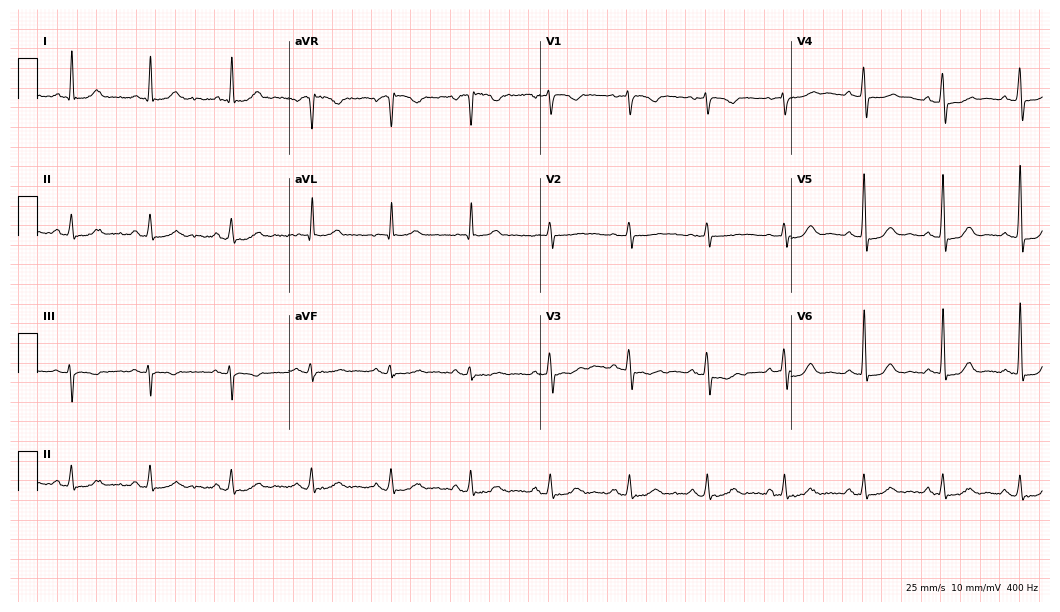
12-lead ECG from a woman, 64 years old. No first-degree AV block, right bundle branch block, left bundle branch block, sinus bradycardia, atrial fibrillation or sinus tachycardia recorded for this tracing. Only these six findings were labelled.